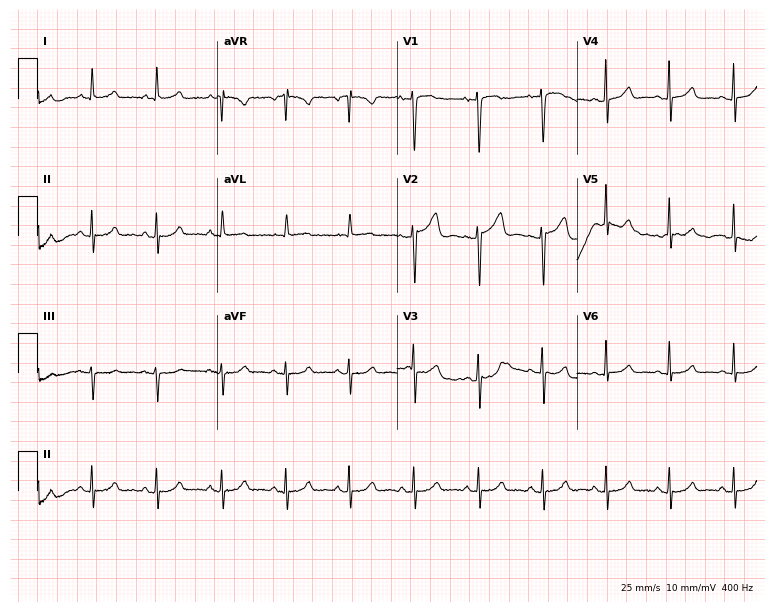
Standard 12-lead ECG recorded from an 83-year-old woman (7.3-second recording at 400 Hz). Read as a normal ECG.